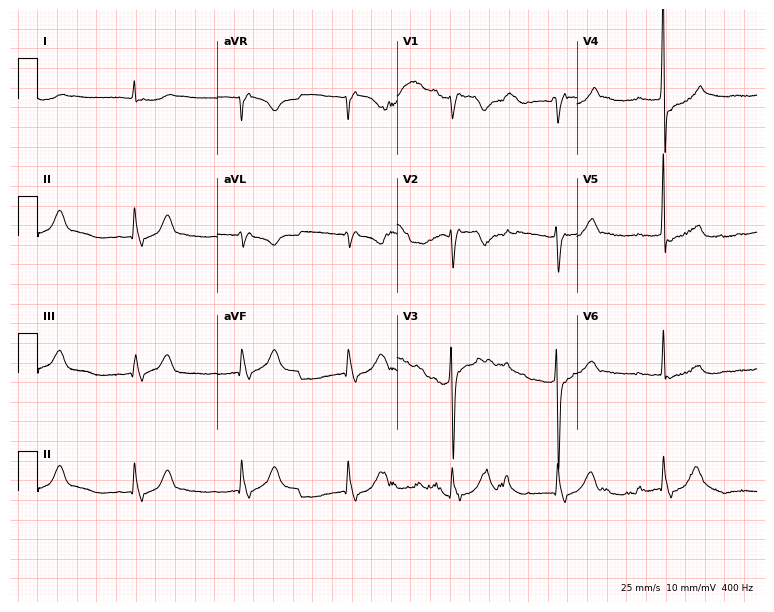
12-lead ECG (7.3-second recording at 400 Hz) from a 66-year-old man. Screened for six findings — first-degree AV block, right bundle branch block, left bundle branch block, sinus bradycardia, atrial fibrillation, sinus tachycardia — none is recorded.